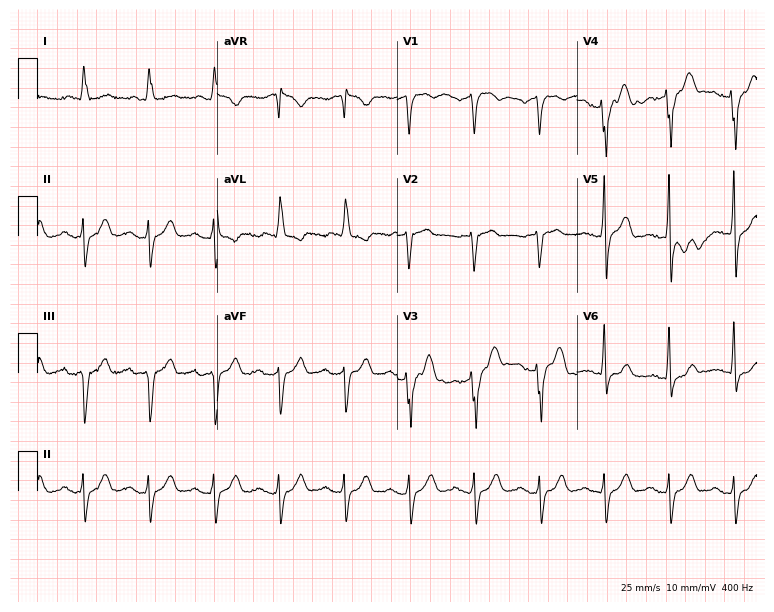
Electrocardiogram, a man, 82 years old. Of the six screened findings (first-degree AV block, right bundle branch block, left bundle branch block, sinus bradycardia, atrial fibrillation, sinus tachycardia), none is recorded.